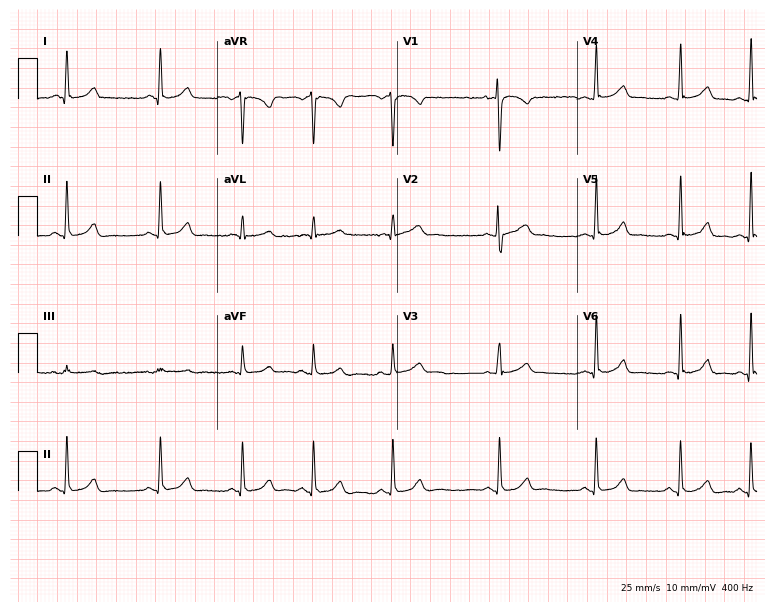
12-lead ECG from a female, 30 years old (7.3-second recording at 400 Hz). No first-degree AV block, right bundle branch block (RBBB), left bundle branch block (LBBB), sinus bradycardia, atrial fibrillation (AF) or sinus tachycardia recorded for this tracing. Only these six findings were labelled.